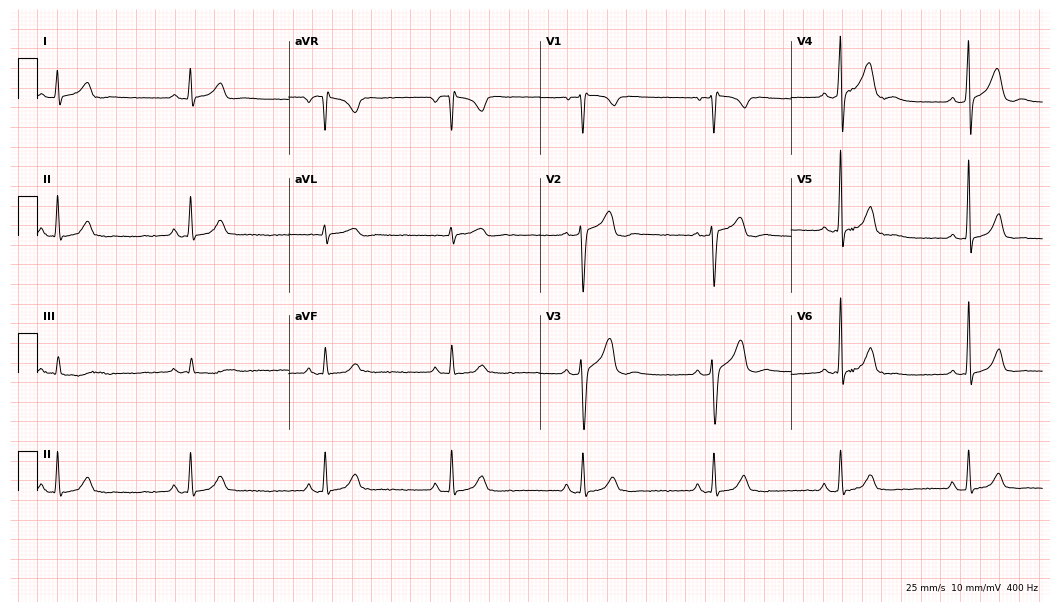
Electrocardiogram, a man, 38 years old. Interpretation includes sinus bradycardia (a sinus rate of 50 beats per minute or less).